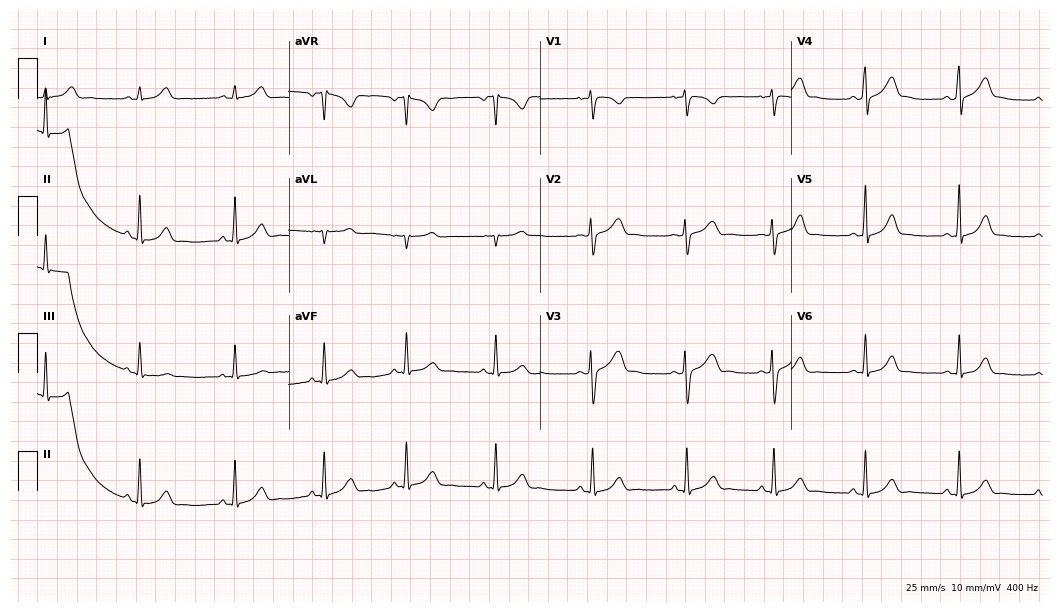
ECG (10.2-second recording at 400 Hz) — a female, 23 years old. Labelled as a normal ECG.